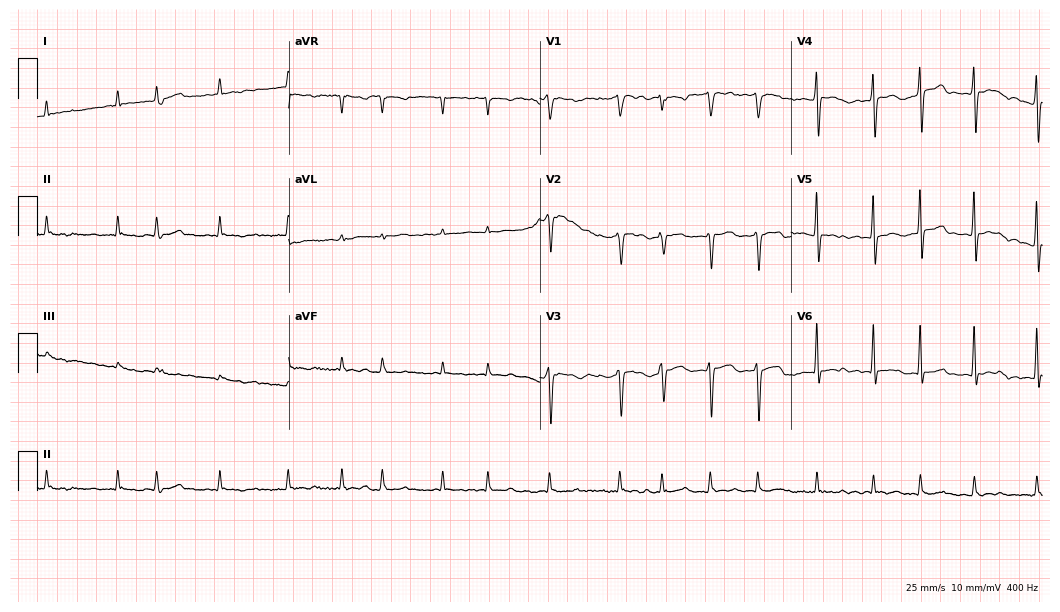
12-lead ECG from a 72-year-old man (10.2-second recording at 400 Hz). Shows atrial fibrillation.